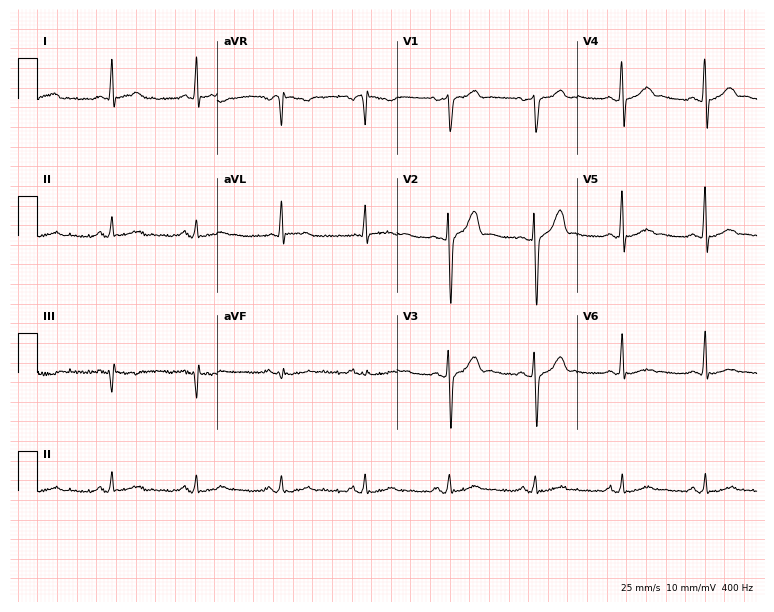
12-lead ECG from a male, 35 years old. No first-degree AV block, right bundle branch block (RBBB), left bundle branch block (LBBB), sinus bradycardia, atrial fibrillation (AF) or sinus tachycardia recorded for this tracing.